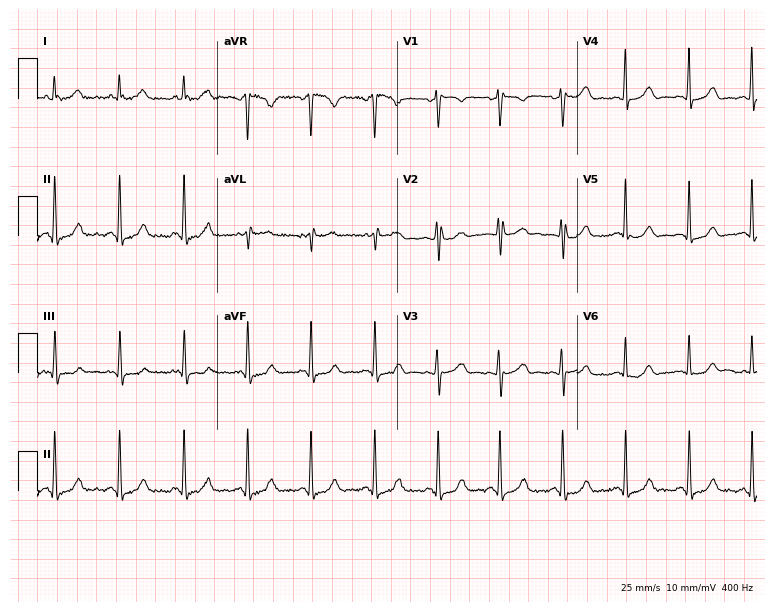
12-lead ECG from a female patient, 47 years old (7.3-second recording at 400 Hz). Recorded interpretation: within normal limits.